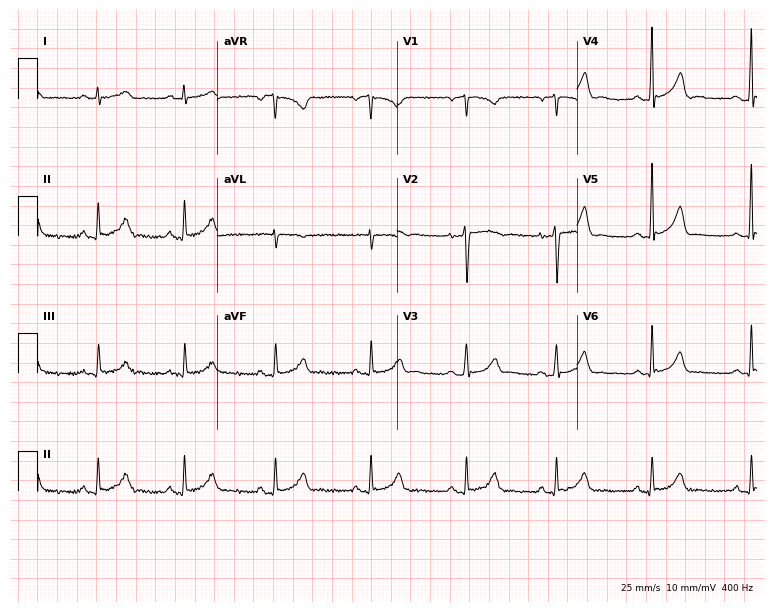
Resting 12-lead electrocardiogram (7.3-second recording at 400 Hz). Patient: a male, 39 years old. None of these six findings is recorded: first-degree AV block, right bundle branch block (RBBB), left bundle branch block (LBBB), sinus bradycardia, atrial fibrillation (AF), sinus tachycardia. Findings outside these six are not listed.